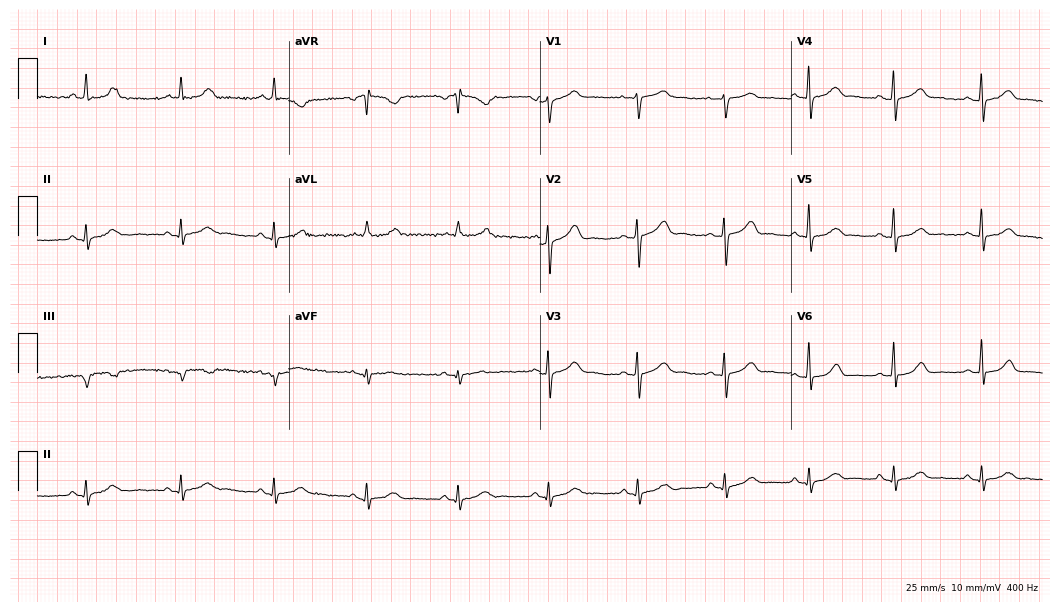
Standard 12-lead ECG recorded from a 53-year-old female. None of these six findings is recorded: first-degree AV block, right bundle branch block, left bundle branch block, sinus bradycardia, atrial fibrillation, sinus tachycardia.